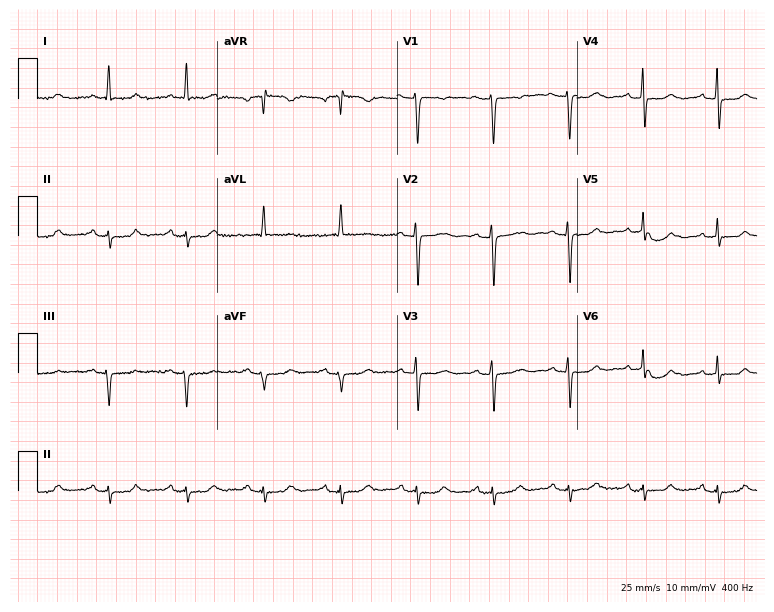
12-lead ECG from a woman, 73 years old (7.3-second recording at 400 Hz). Recorded interpretation: within normal limits.